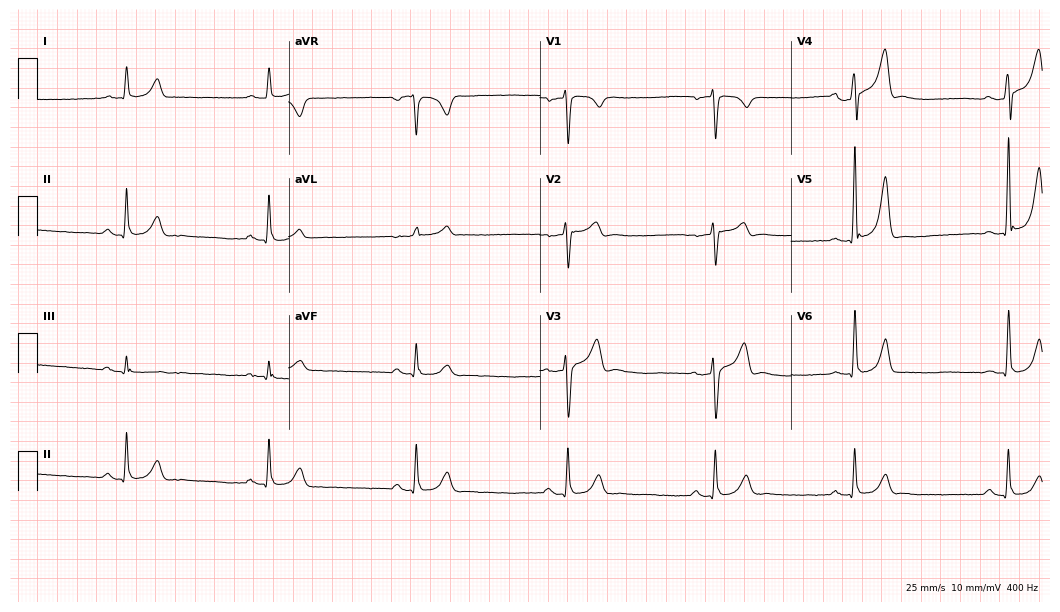
Electrocardiogram (10.2-second recording at 400 Hz), a 46-year-old man. Interpretation includes sinus bradycardia (a sinus rate of 50 beats per minute or less).